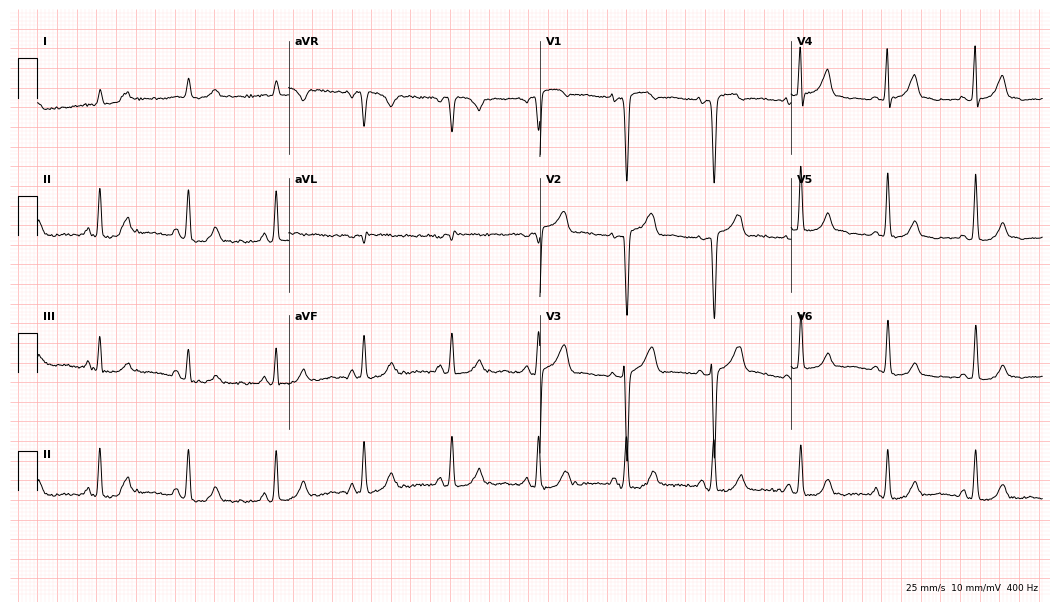
Electrocardiogram (10.2-second recording at 400 Hz), a female patient, 76 years old. Of the six screened findings (first-degree AV block, right bundle branch block, left bundle branch block, sinus bradycardia, atrial fibrillation, sinus tachycardia), none is recorded.